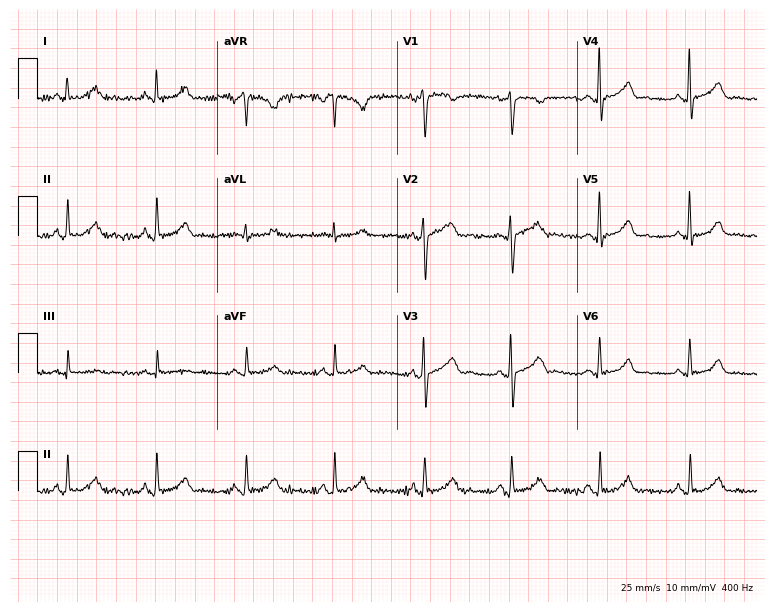
12-lead ECG from a female patient, 34 years old. Screened for six findings — first-degree AV block, right bundle branch block (RBBB), left bundle branch block (LBBB), sinus bradycardia, atrial fibrillation (AF), sinus tachycardia — none is recorded.